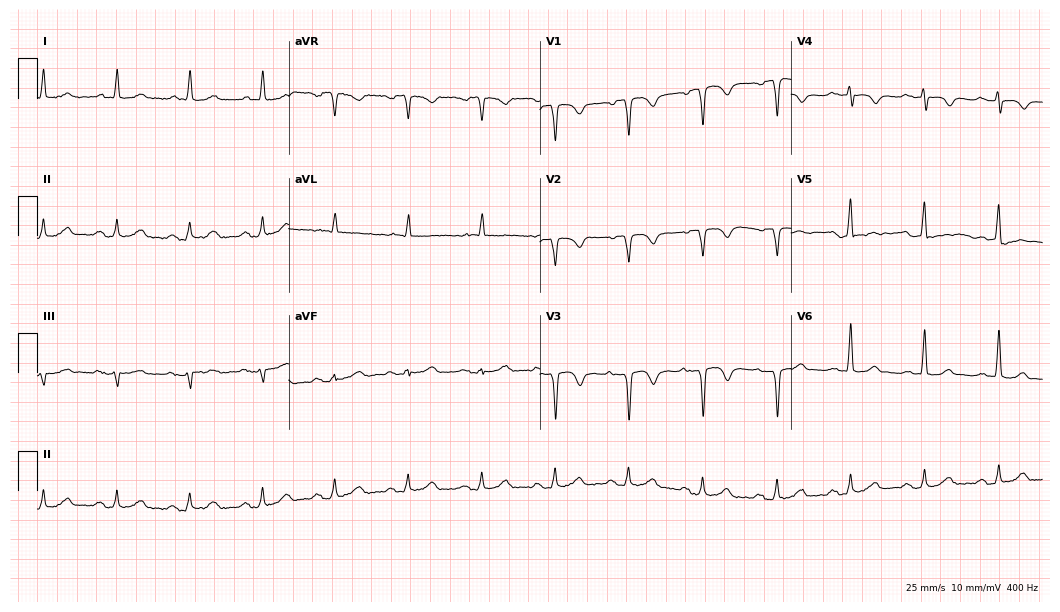
Standard 12-lead ECG recorded from a 76-year-old male. None of these six findings is recorded: first-degree AV block, right bundle branch block, left bundle branch block, sinus bradycardia, atrial fibrillation, sinus tachycardia.